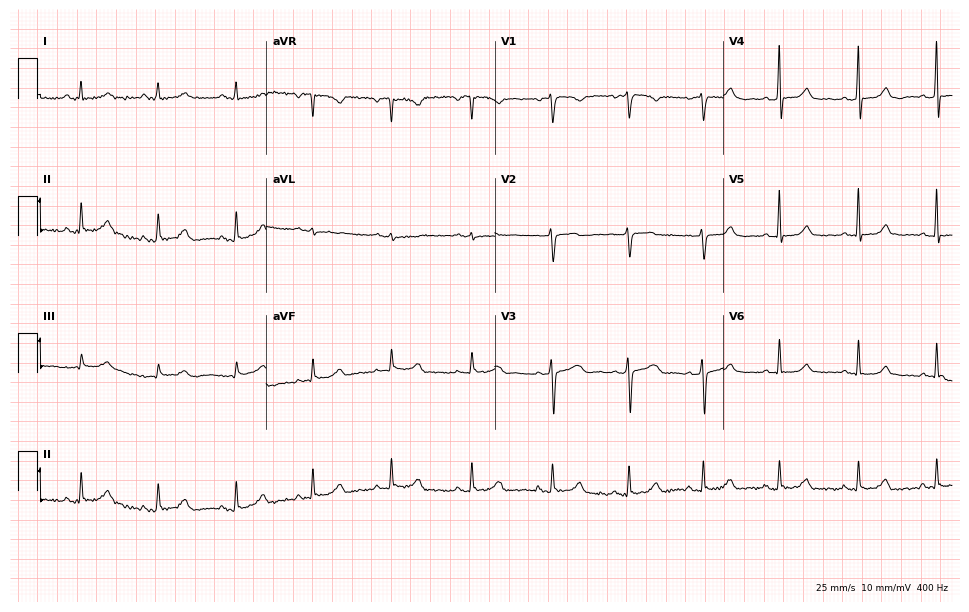
Electrocardiogram, a female, 40 years old. Overall reading on record: normal ECG.